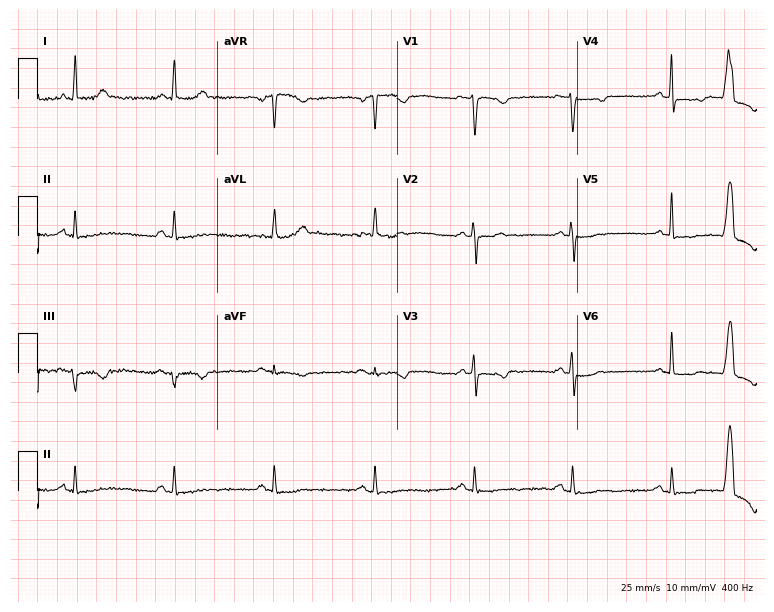
Standard 12-lead ECG recorded from a female patient, 72 years old (7.3-second recording at 400 Hz). None of these six findings is recorded: first-degree AV block, right bundle branch block (RBBB), left bundle branch block (LBBB), sinus bradycardia, atrial fibrillation (AF), sinus tachycardia. Other findings, if any, are not listed.